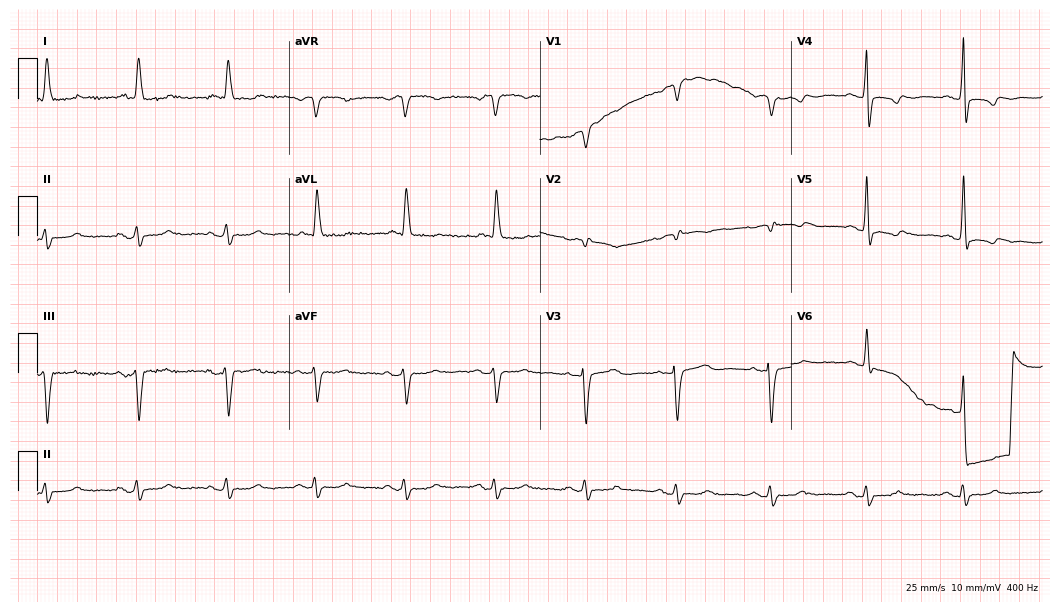
12-lead ECG from a woman, 85 years old. No first-degree AV block, right bundle branch block, left bundle branch block, sinus bradycardia, atrial fibrillation or sinus tachycardia recorded for this tracing. Other findings, if any, are not listed.